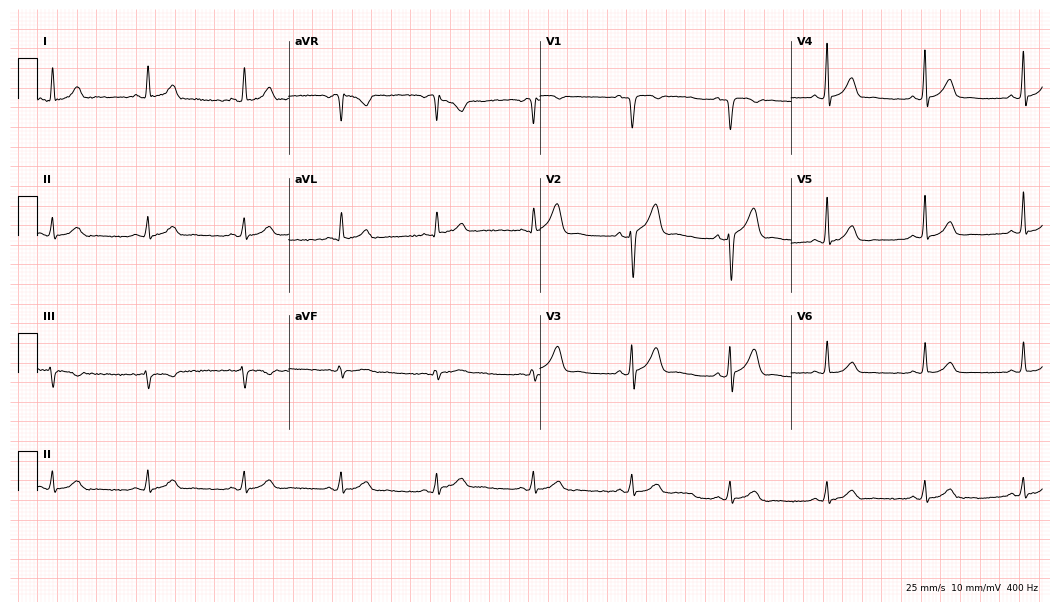
ECG (10.2-second recording at 400 Hz) — a male, 59 years old. Labelled as a normal ECG.